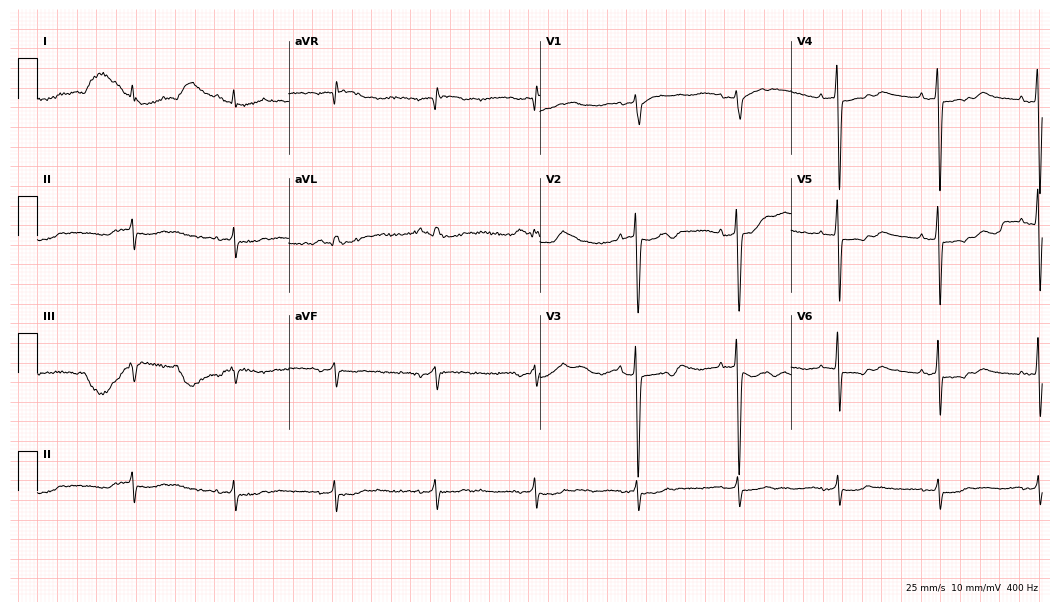
Standard 12-lead ECG recorded from an 85-year-old man. None of these six findings is recorded: first-degree AV block, right bundle branch block, left bundle branch block, sinus bradycardia, atrial fibrillation, sinus tachycardia. Findings outside these six are not listed.